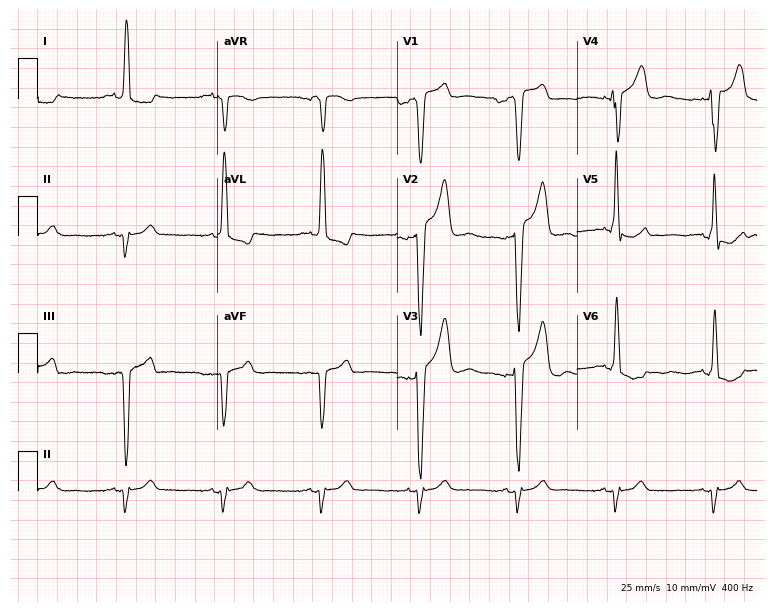
Resting 12-lead electrocardiogram (7.3-second recording at 400 Hz). Patient: a male, 79 years old. None of these six findings is recorded: first-degree AV block, right bundle branch block, left bundle branch block, sinus bradycardia, atrial fibrillation, sinus tachycardia.